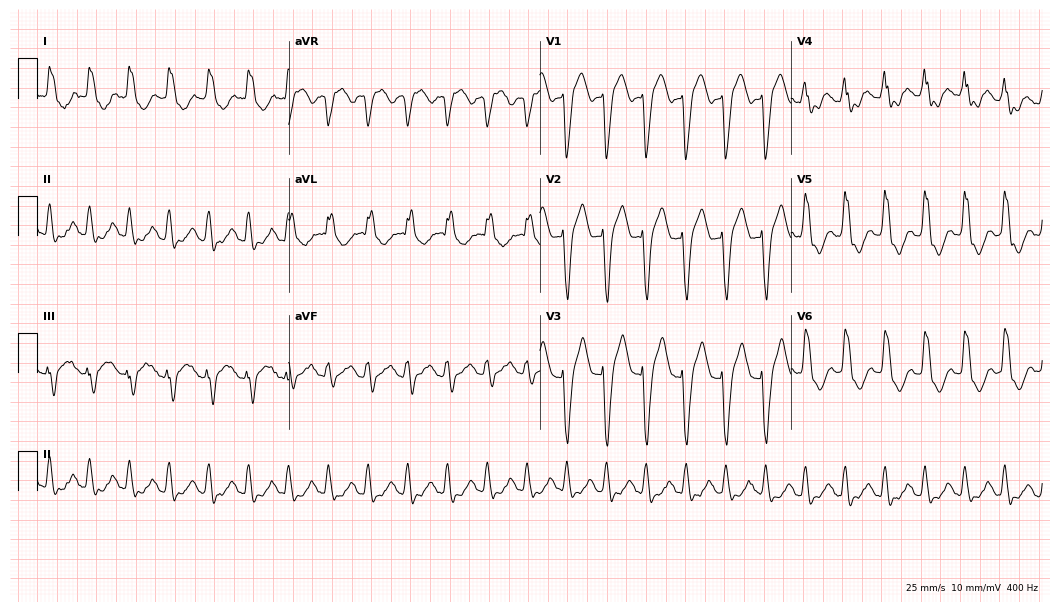
12-lead ECG from a female patient, 65 years old. Shows left bundle branch block, sinus tachycardia (a sinus rate of 100 beats per minute or more).